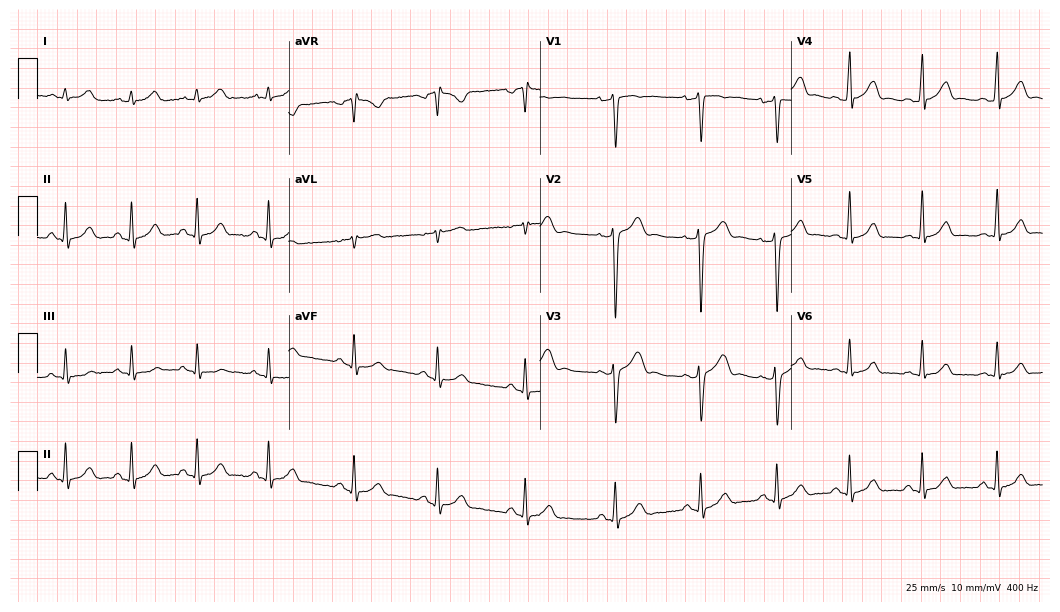
Standard 12-lead ECG recorded from a male, 20 years old (10.2-second recording at 400 Hz). Read as a normal ECG.